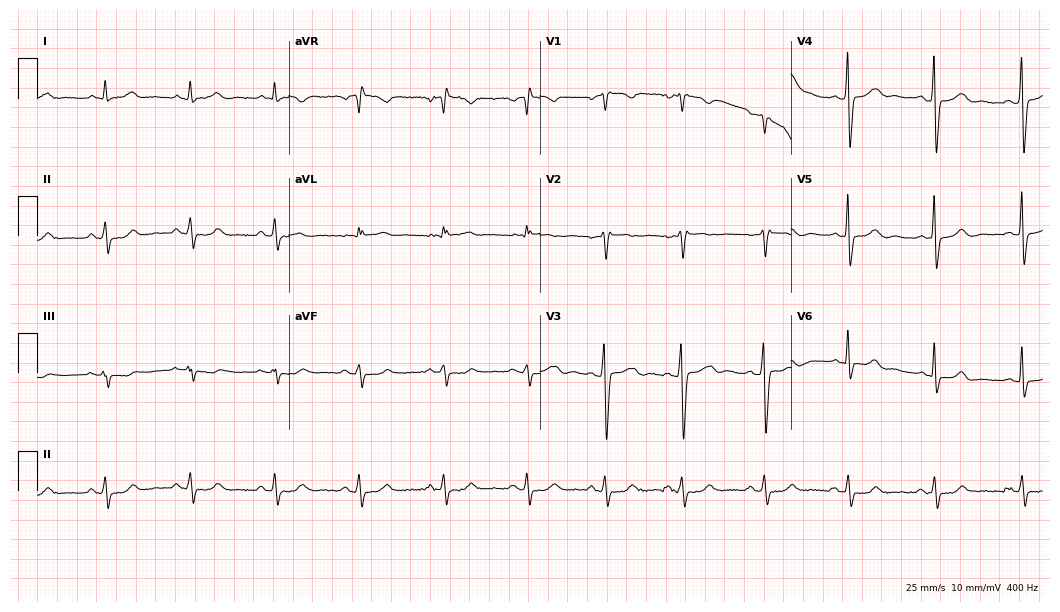
12-lead ECG (10.2-second recording at 400 Hz) from a 53-year-old male patient. Screened for six findings — first-degree AV block, right bundle branch block, left bundle branch block, sinus bradycardia, atrial fibrillation, sinus tachycardia — none is recorded. Findings outside these six are not listed.